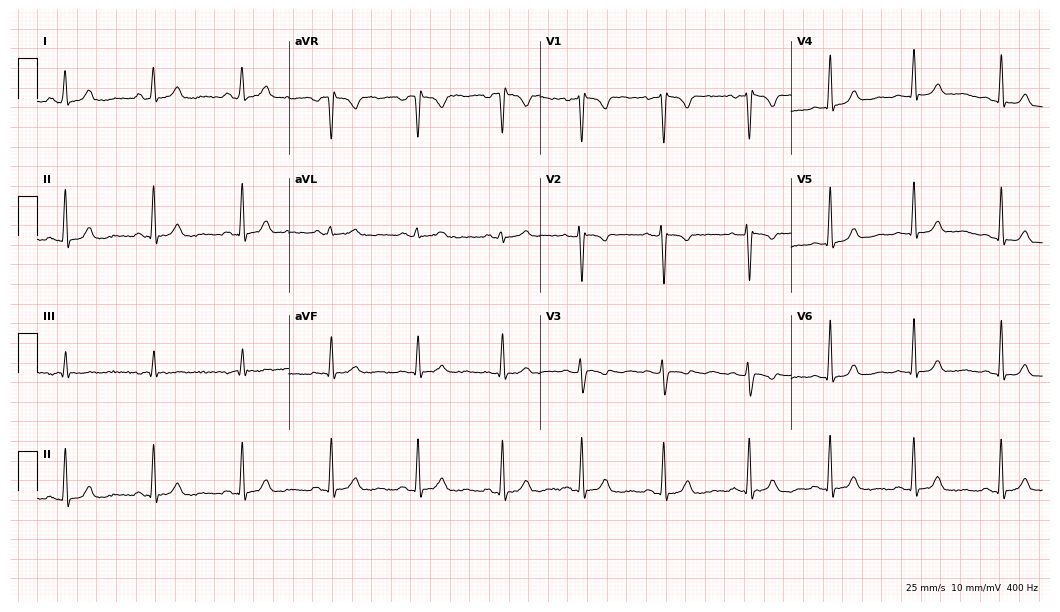
12-lead ECG from a 33-year-old woman. Labelled as a normal ECG.